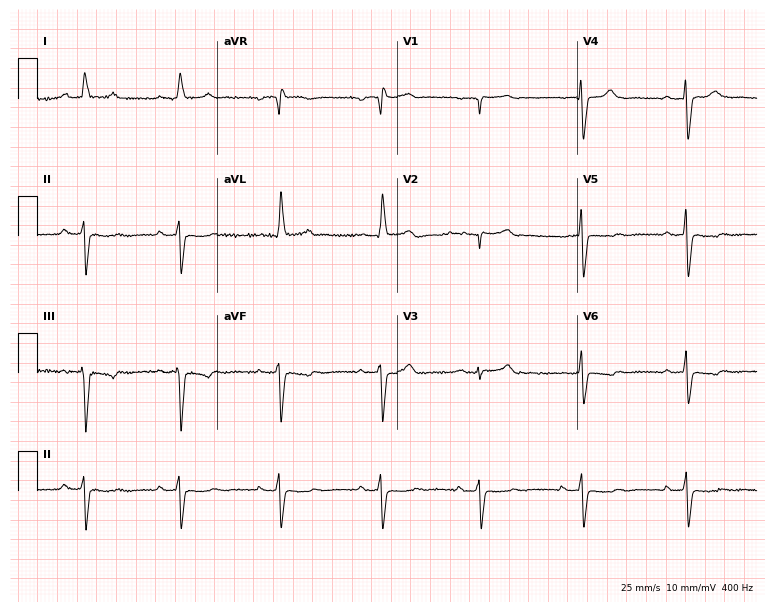
Standard 12-lead ECG recorded from a 58-year-old female patient. None of these six findings is recorded: first-degree AV block, right bundle branch block (RBBB), left bundle branch block (LBBB), sinus bradycardia, atrial fibrillation (AF), sinus tachycardia.